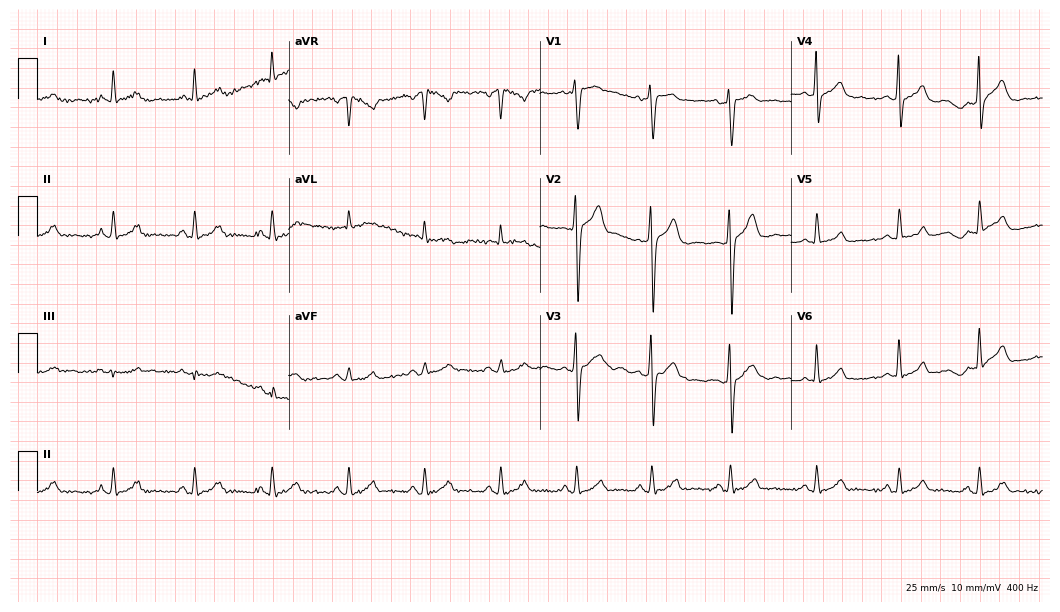
12-lead ECG from a male, 34 years old (10.2-second recording at 400 Hz). Recorded interpretation: within normal limits.